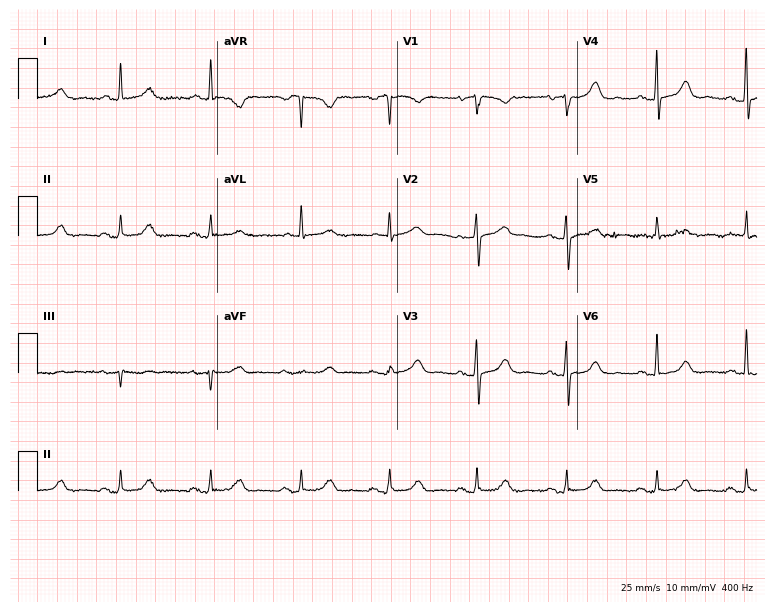
12-lead ECG from a female patient, 77 years old. Screened for six findings — first-degree AV block, right bundle branch block (RBBB), left bundle branch block (LBBB), sinus bradycardia, atrial fibrillation (AF), sinus tachycardia — none is recorded.